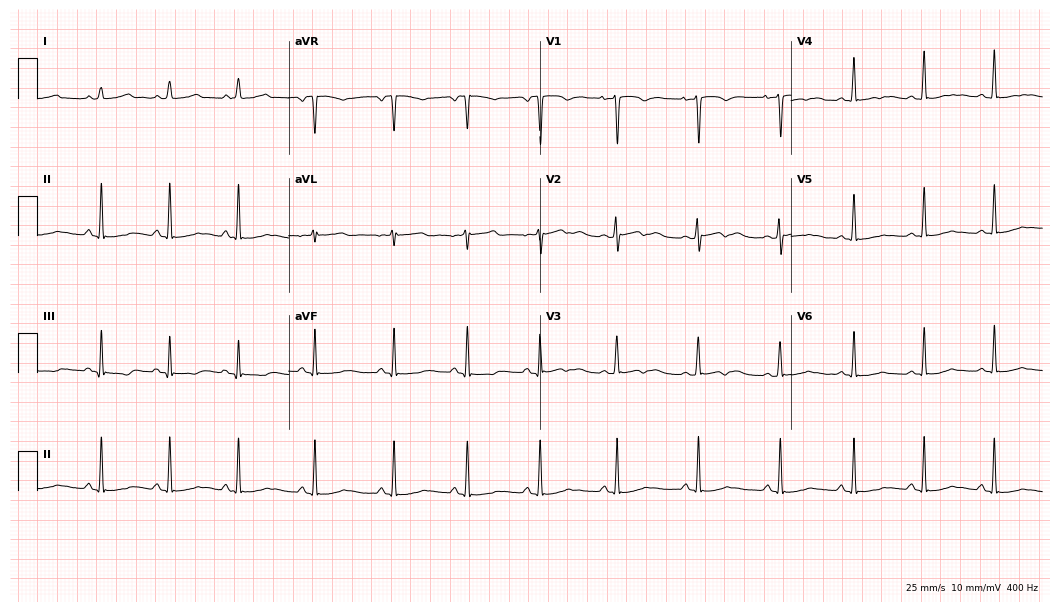
12-lead ECG from a 27-year-old female patient. No first-degree AV block, right bundle branch block, left bundle branch block, sinus bradycardia, atrial fibrillation or sinus tachycardia recorded for this tracing. Findings outside these six are not listed.